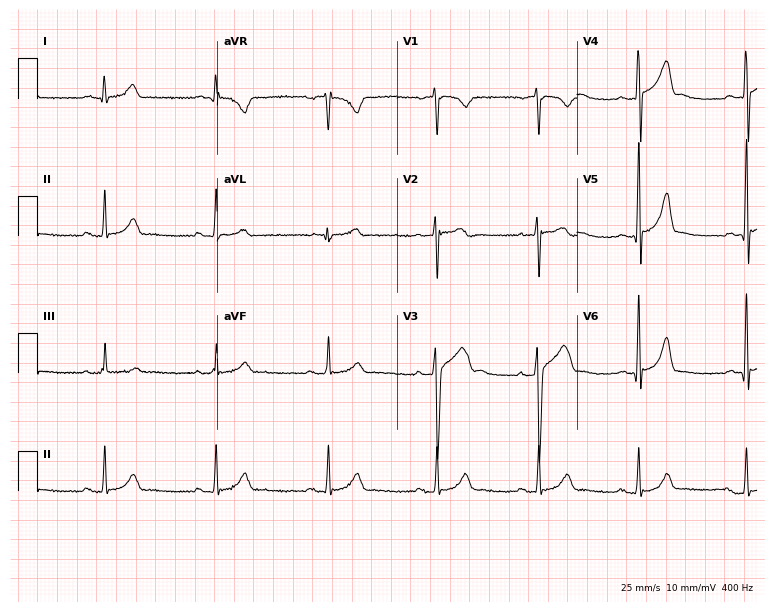
ECG — a 17-year-old man. Labelled as a normal ECG.